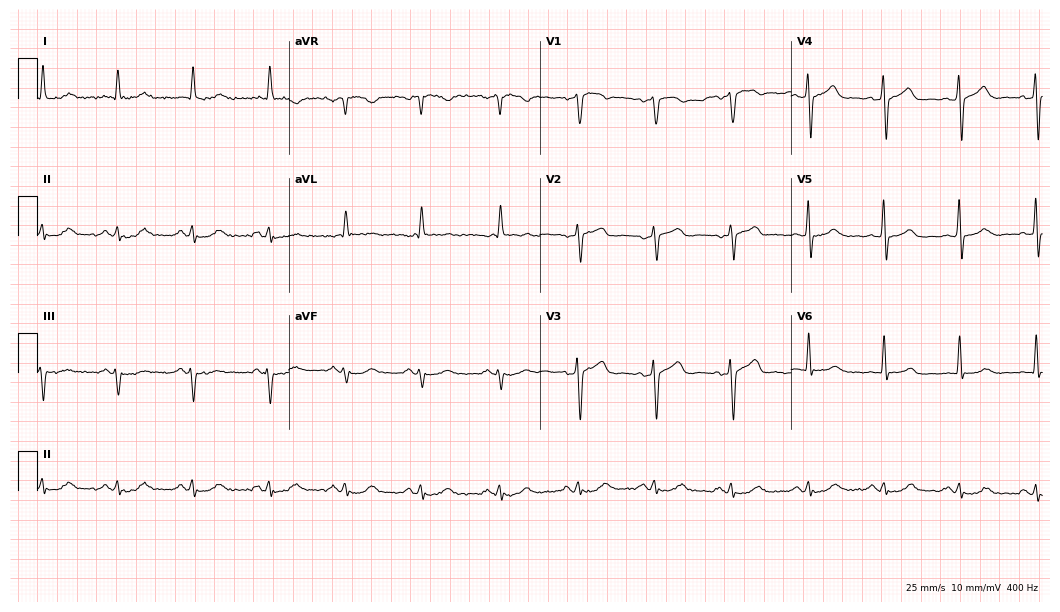
Standard 12-lead ECG recorded from a man, 63 years old. Read as a normal ECG.